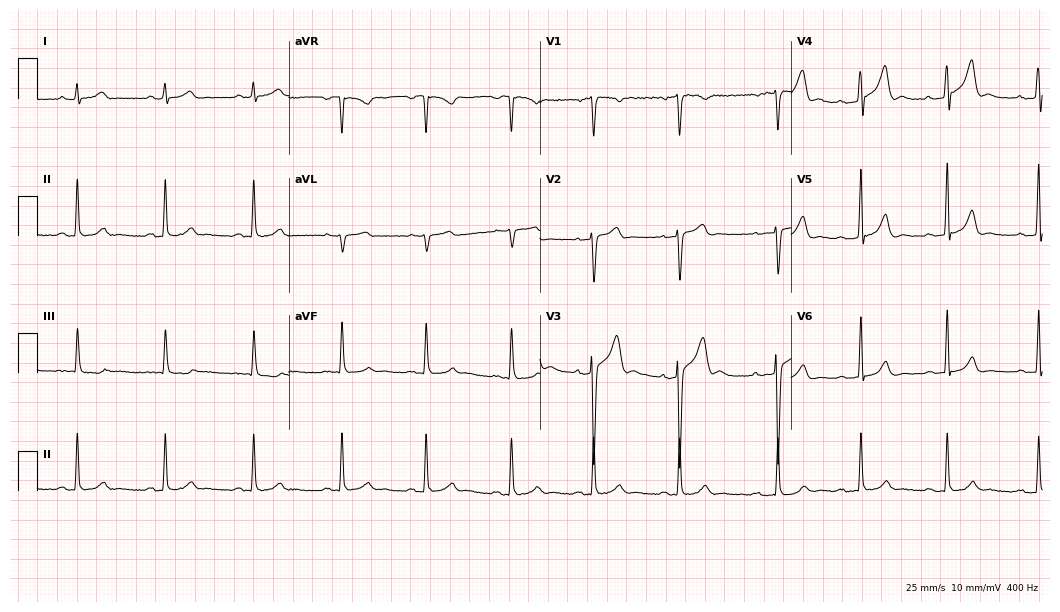
Resting 12-lead electrocardiogram. Patient: a 32-year-old man. Read as a normal ECG.